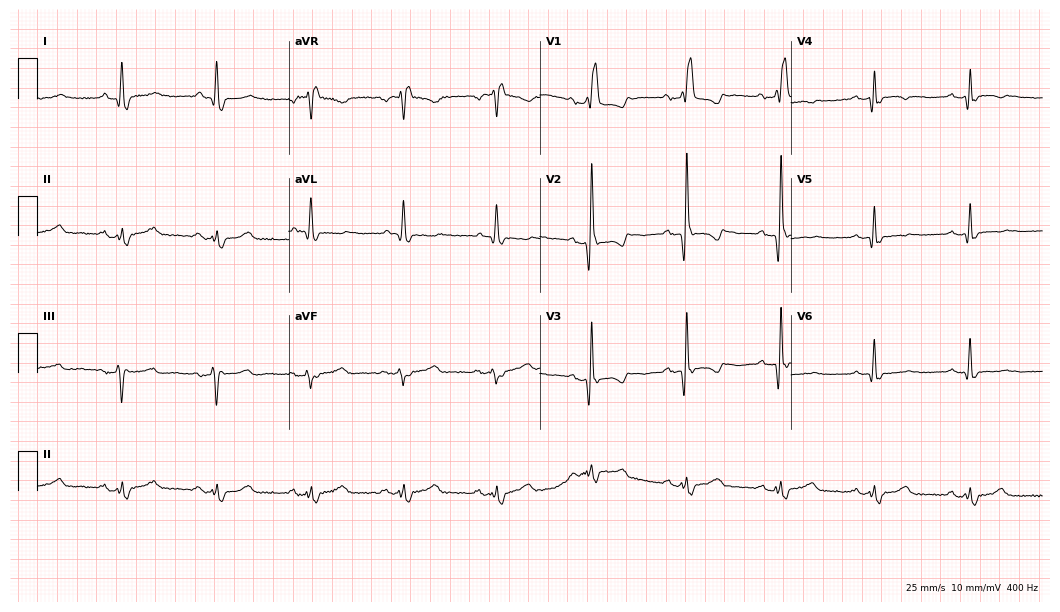
12-lead ECG (10.2-second recording at 400 Hz) from a 73-year-old female. Findings include right bundle branch block.